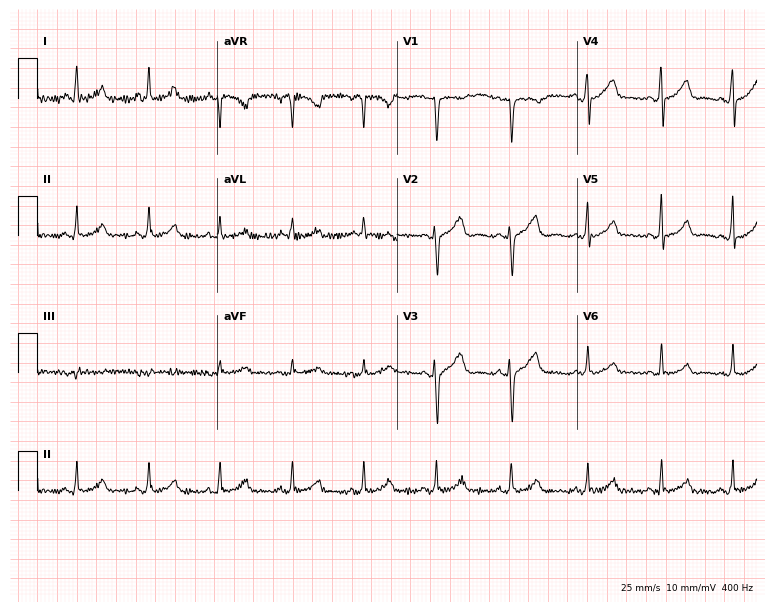
12-lead ECG from a woman, 33 years old. No first-degree AV block, right bundle branch block, left bundle branch block, sinus bradycardia, atrial fibrillation or sinus tachycardia recorded for this tracing.